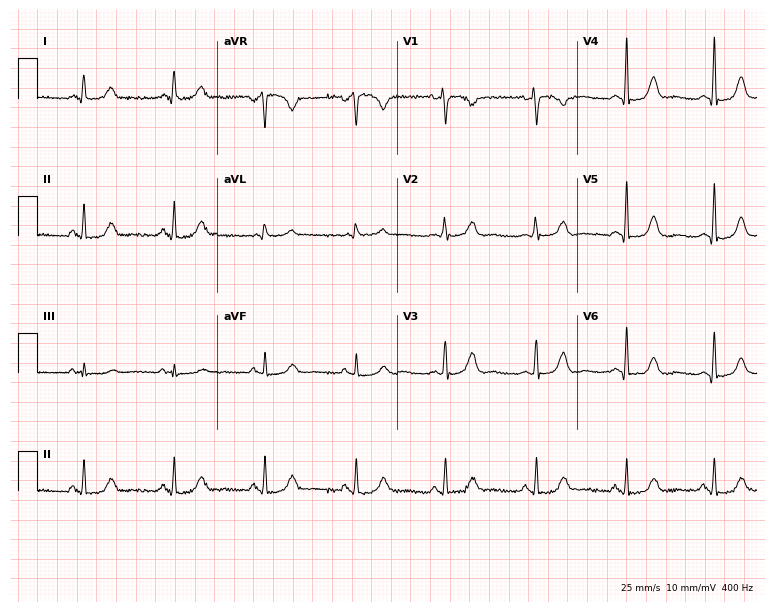
ECG (7.3-second recording at 400 Hz) — a 50-year-old female. Screened for six findings — first-degree AV block, right bundle branch block, left bundle branch block, sinus bradycardia, atrial fibrillation, sinus tachycardia — none is recorded. Only these six findings were labelled.